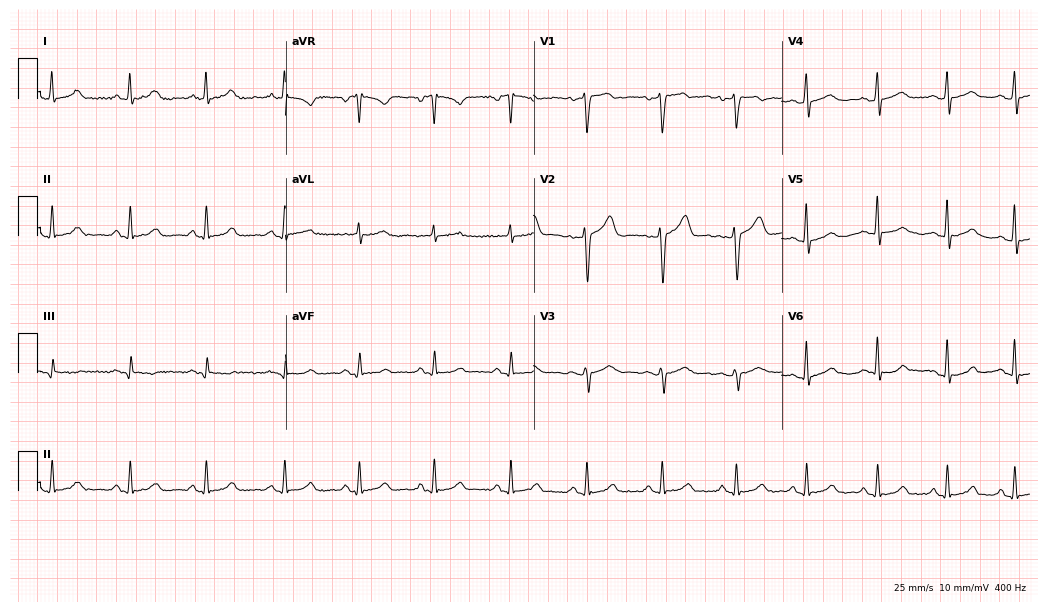
Resting 12-lead electrocardiogram. Patient: a female, 42 years old. Read as a normal ECG.